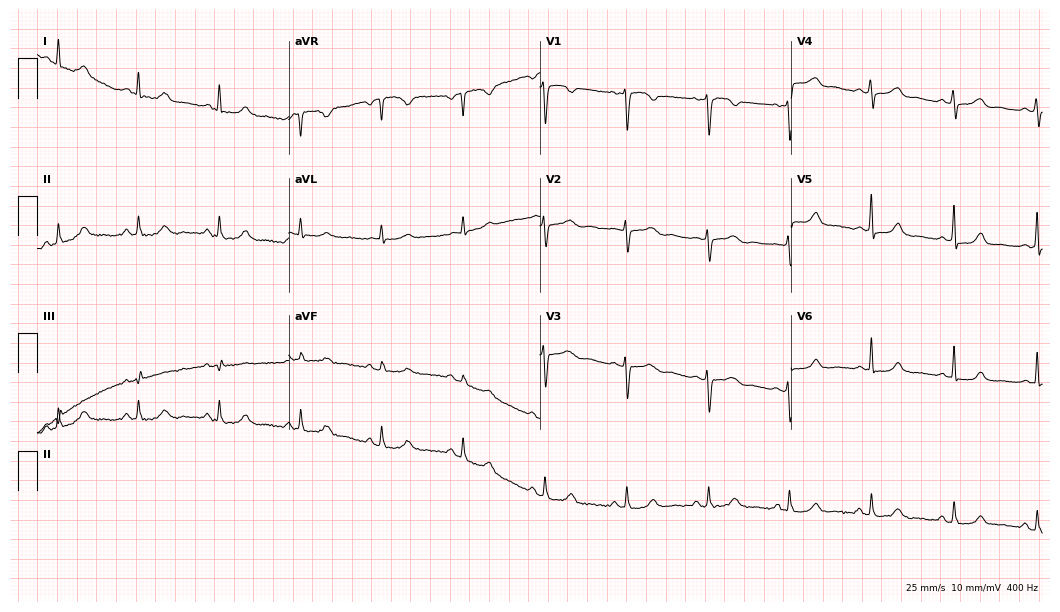
ECG (10.2-second recording at 400 Hz) — a 46-year-old woman. Labelled as a normal ECG.